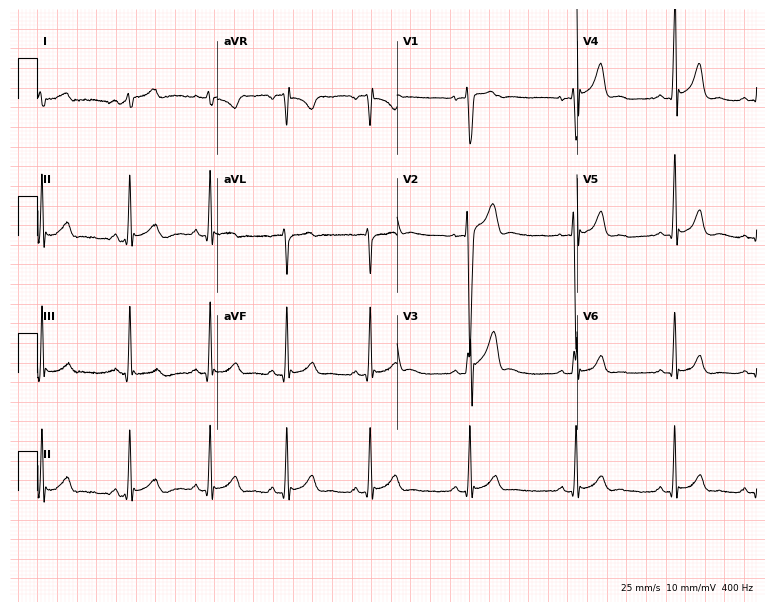
12-lead ECG from a female, 20 years old. Recorded interpretation: within normal limits.